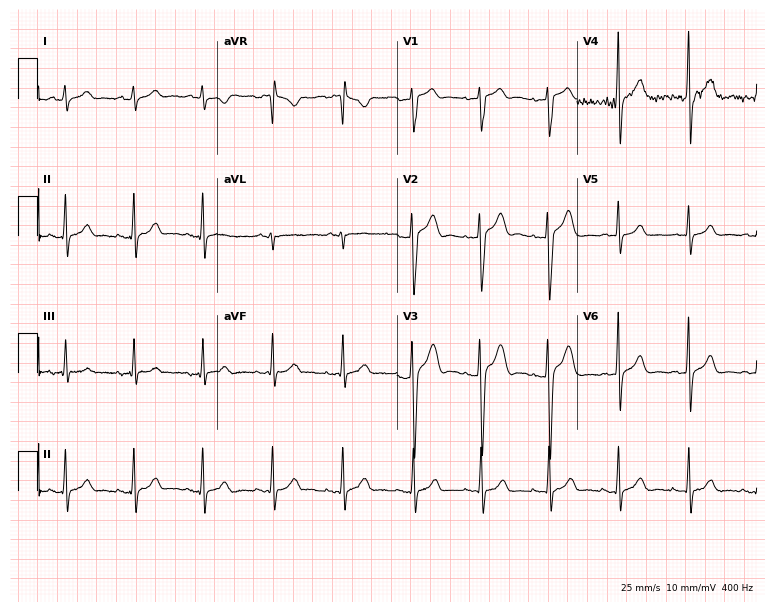
12-lead ECG from a 20-year-old man (7.3-second recording at 400 Hz). Recorded interpretation: within normal limits.